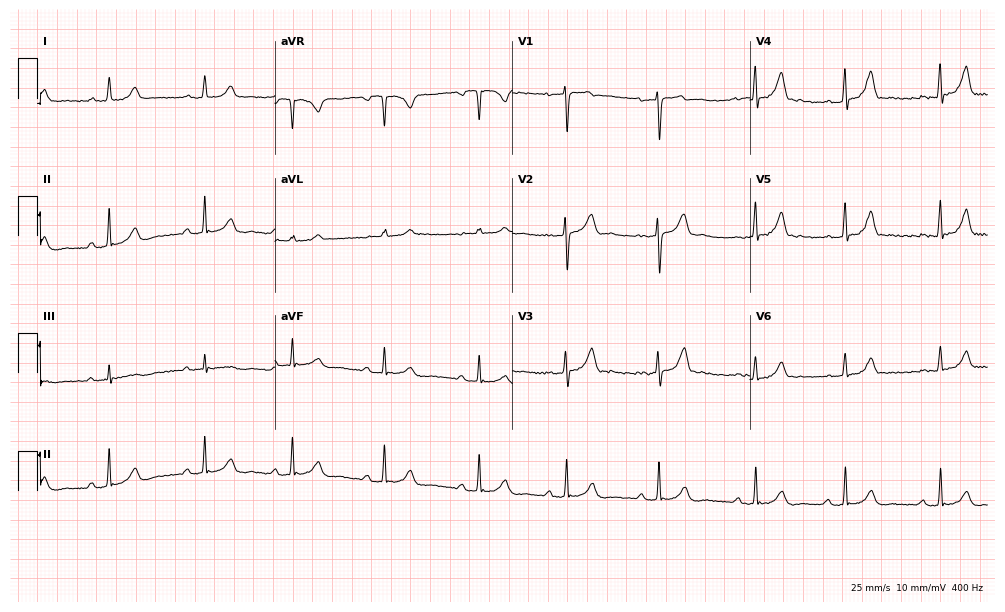
Resting 12-lead electrocardiogram. Patient: a 33-year-old female. Read as a normal ECG.